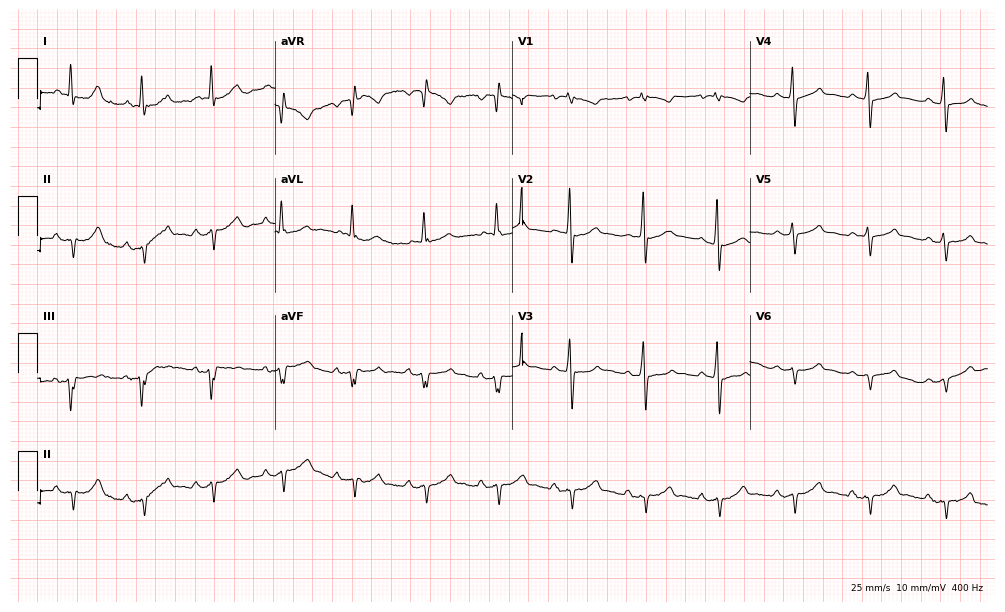
12-lead ECG from a 71-year-old male patient. No first-degree AV block, right bundle branch block, left bundle branch block, sinus bradycardia, atrial fibrillation or sinus tachycardia recorded for this tracing.